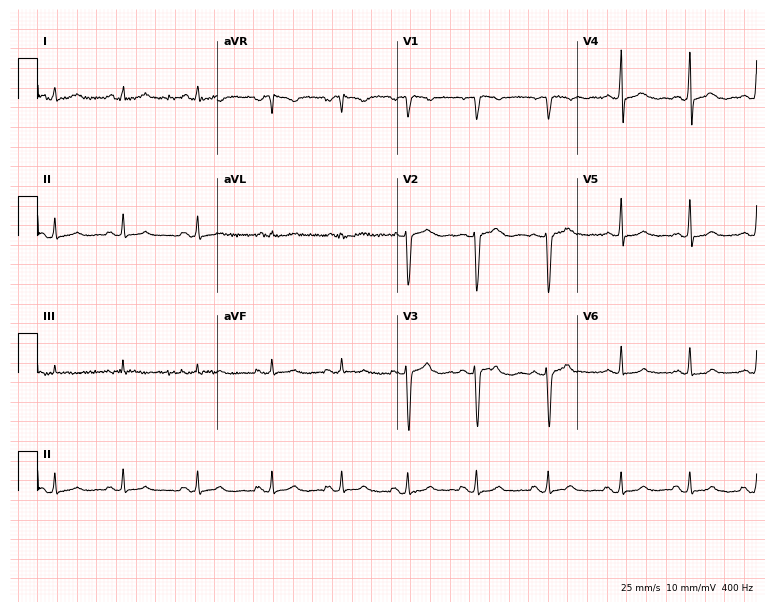
Resting 12-lead electrocardiogram (7.3-second recording at 400 Hz). Patient: a 27-year-old woman. Read as a normal ECG.